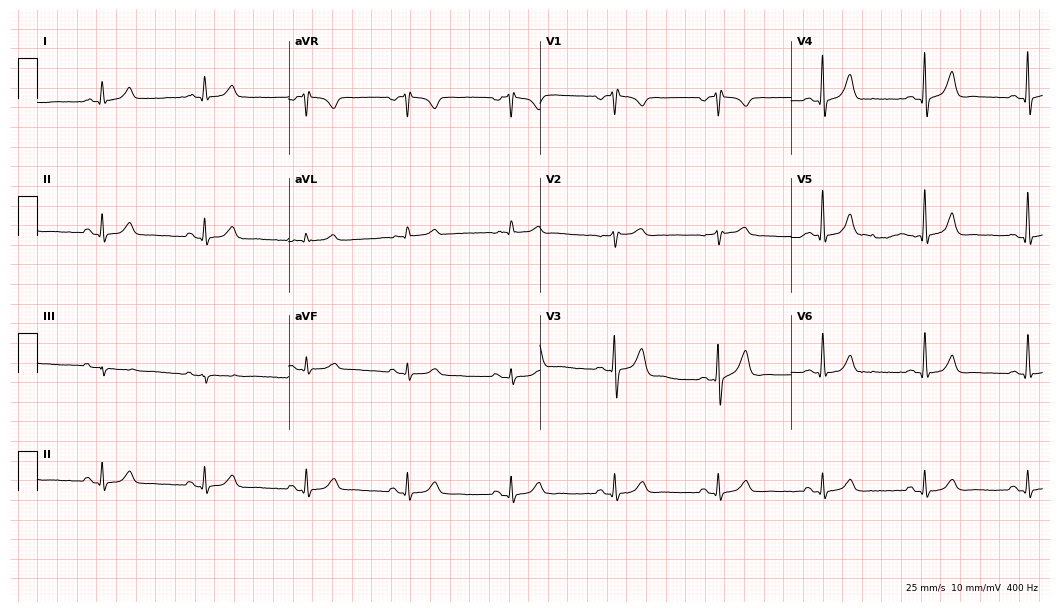
Standard 12-lead ECG recorded from a 60-year-old male (10.2-second recording at 400 Hz). Read as a normal ECG.